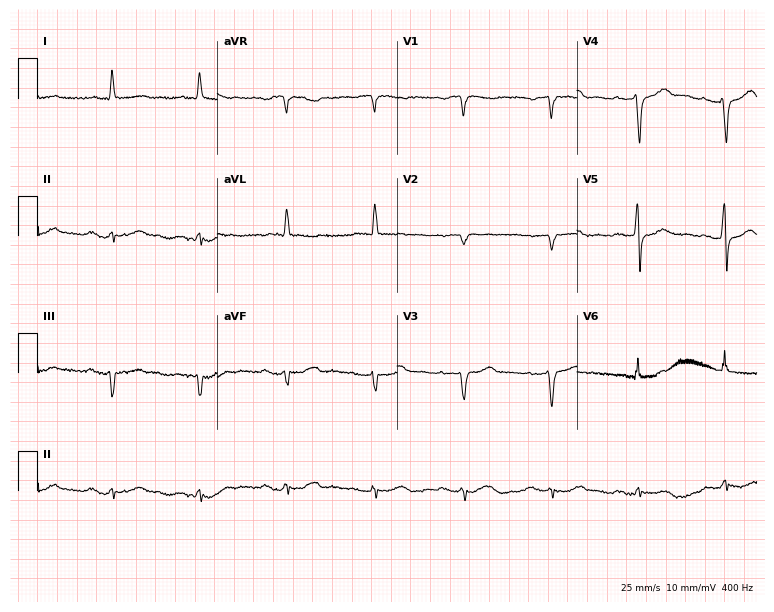
Electrocardiogram (7.3-second recording at 400 Hz), a male, 76 years old. Of the six screened findings (first-degree AV block, right bundle branch block, left bundle branch block, sinus bradycardia, atrial fibrillation, sinus tachycardia), none is recorded. Findings outside these six are not listed.